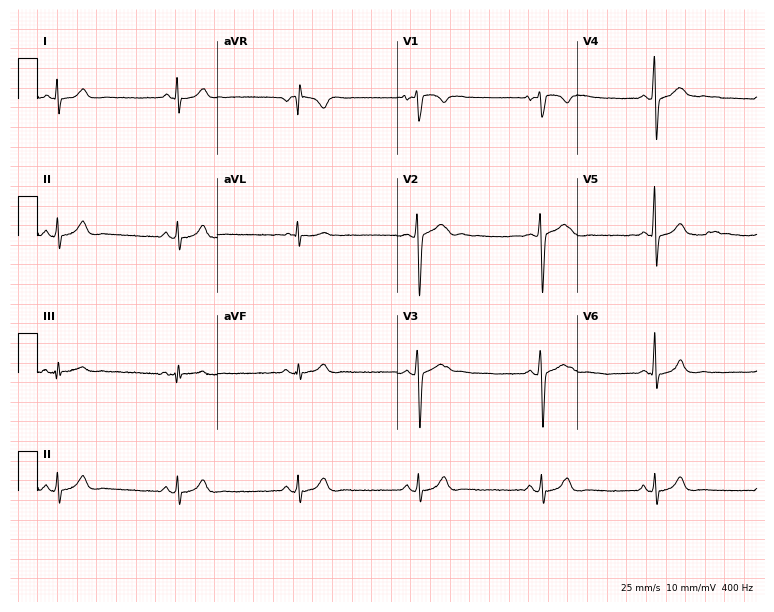
Electrocardiogram, a 24-year-old male patient. Interpretation includes sinus bradycardia (a sinus rate of 50 beats per minute or less).